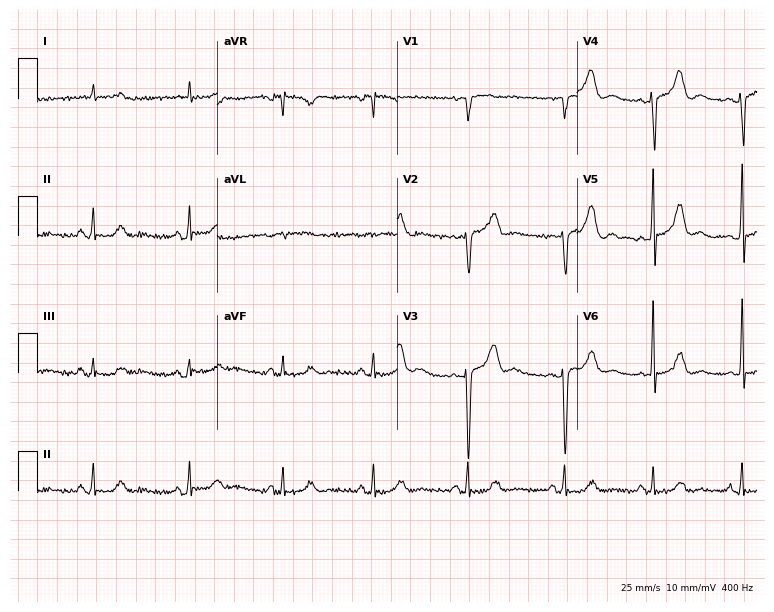
Resting 12-lead electrocardiogram. Patient: a female, 65 years old. None of these six findings is recorded: first-degree AV block, right bundle branch block, left bundle branch block, sinus bradycardia, atrial fibrillation, sinus tachycardia.